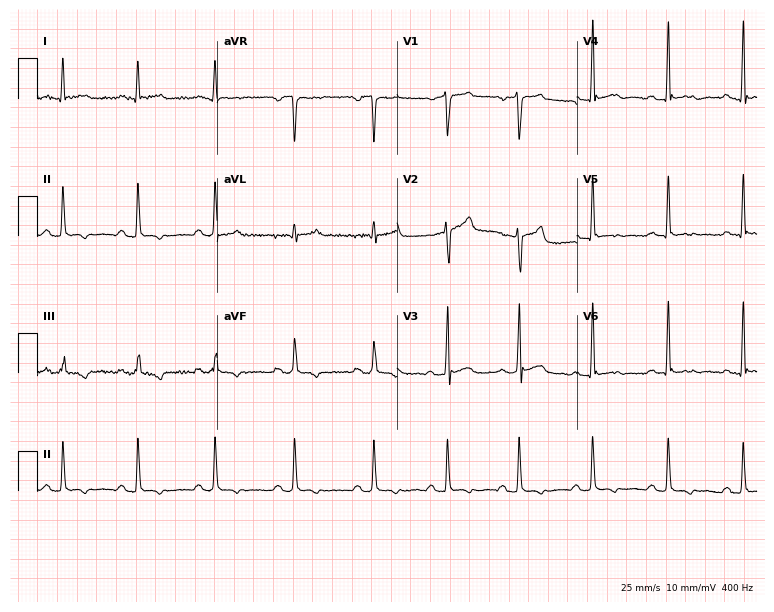
Electrocardiogram, a man, 56 years old. Of the six screened findings (first-degree AV block, right bundle branch block, left bundle branch block, sinus bradycardia, atrial fibrillation, sinus tachycardia), none is recorded. Findings outside these six are not listed.